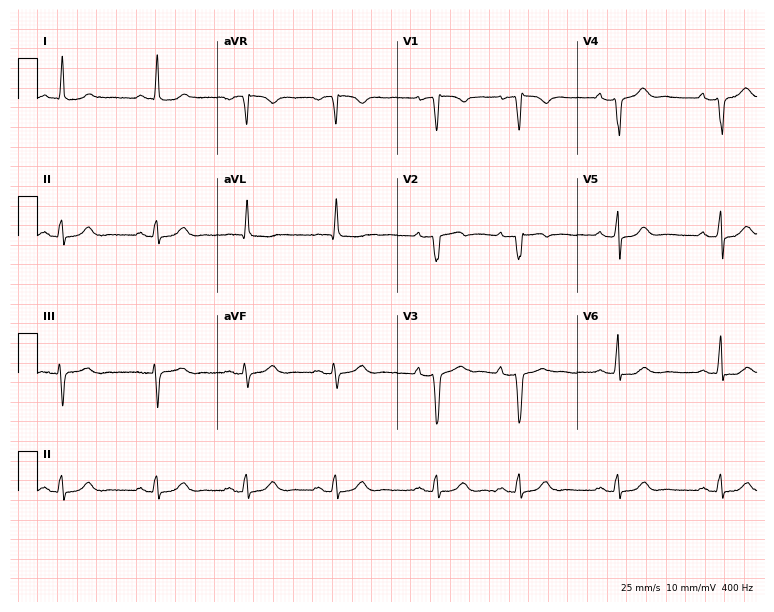
Electrocardiogram, a male, 78 years old. Of the six screened findings (first-degree AV block, right bundle branch block, left bundle branch block, sinus bradycardia, atrial fibrillation, sinus tachycardia), none is recorded. Other findings, if any, are not listed.